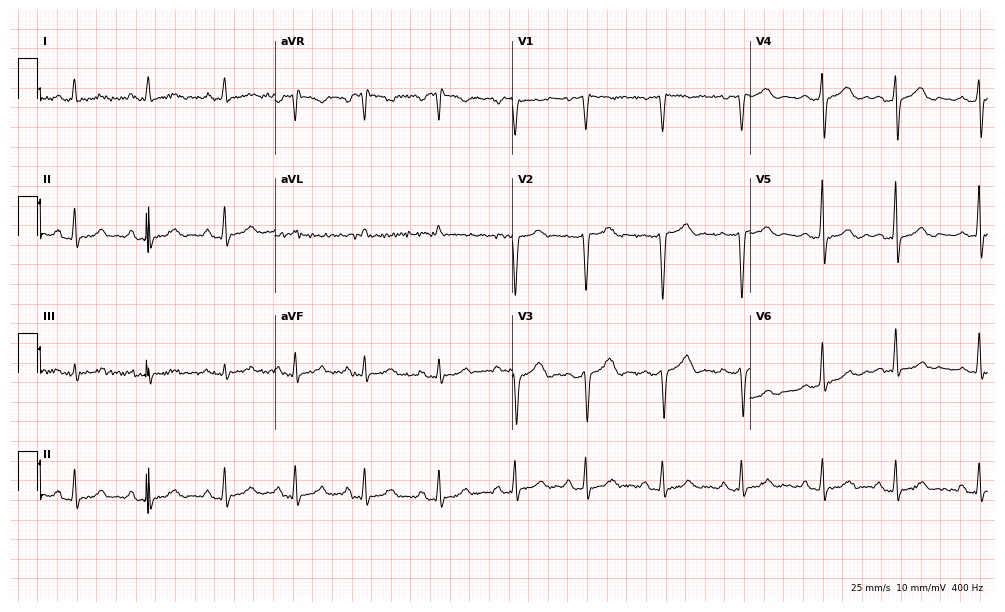
12-lead ECG (9.7-second recording at 400 Hz) from a 40-year-old woman. Screened for six findings — first-degree AV block, right bundle branch block (RBBB), left bundle branch block (LBBB), sinus bradycardia, atrial fibrillation (AF), sinus tachycardia — none is recorded. Only these six findings were labelled.